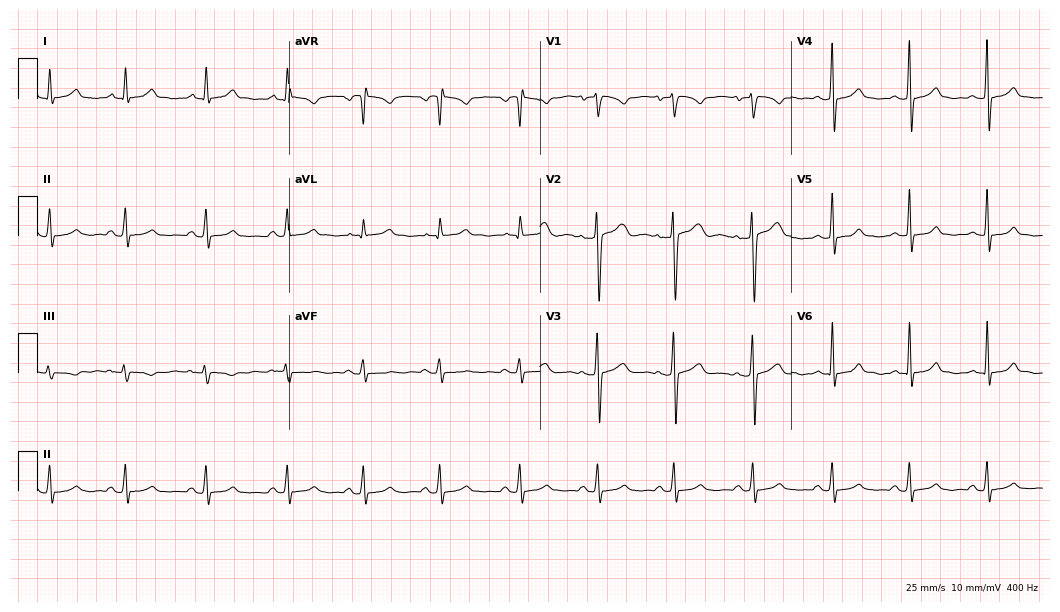
Resting 12-lead electrocardiogram. Patient: a woman, 32 years old. Read as a normal ECG.